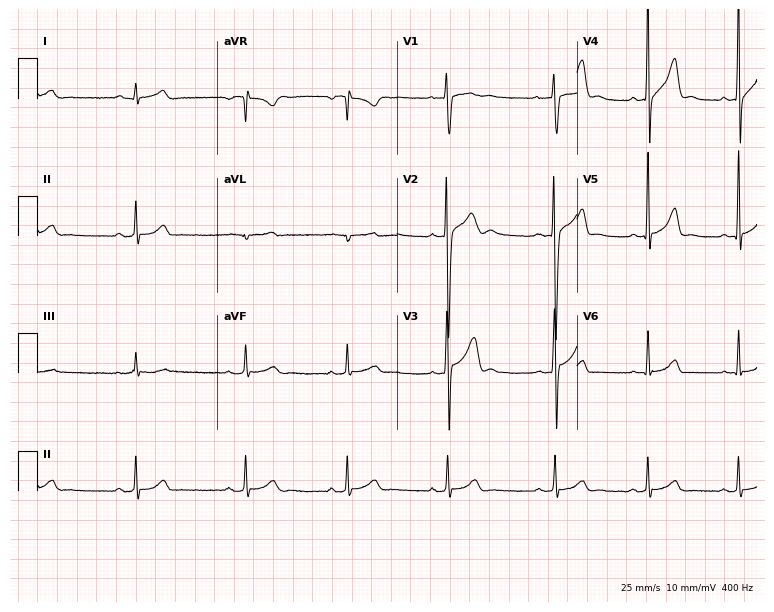
12-lead ECG (7.3-second recording at 400 Hz) from a man, 23 years old. Labelled as a normal ECG.